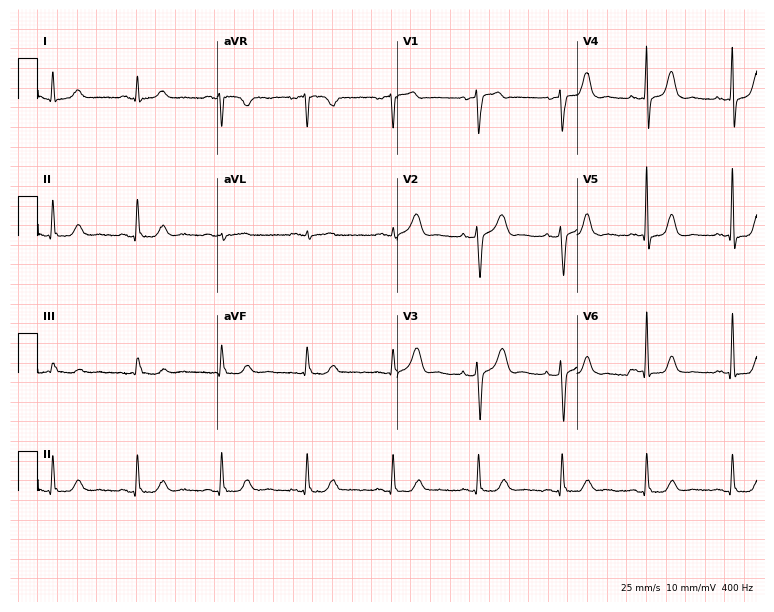
ECG (7.3-second recording at 400 Hz) — a female patient, 64 years old. Screened for six findings — first-degree AV block, right bundle branch block, left bundle branch block, sinus bradycardia, atrial fibrillation, sinus tachycardia — none is recorded.